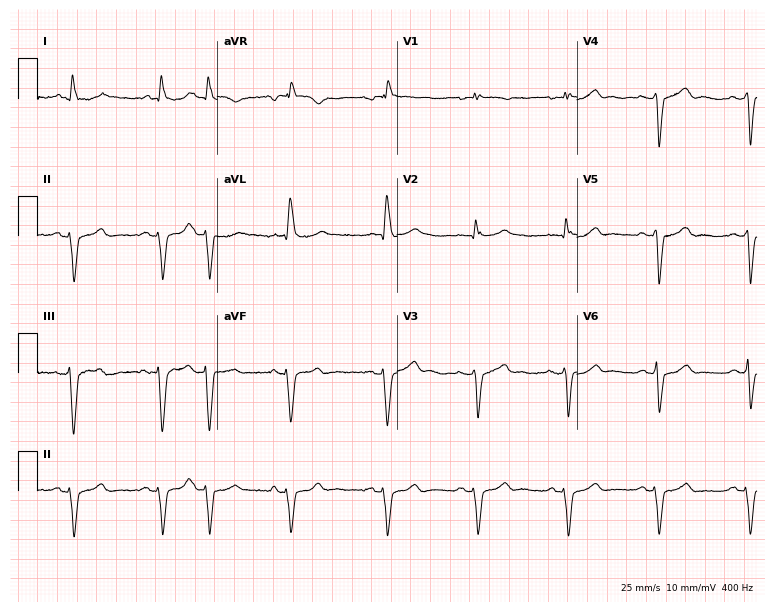
12-lead ECG from a male, 84 years old (7.3-second recording at 400 Hz). No first-degree AV block, right bundle branch block (RBBB), left bundle branch block (LBBB), sinus bradycardia, atrial fibrillation (AF) or sinus tachycardia recorded for this tracing.